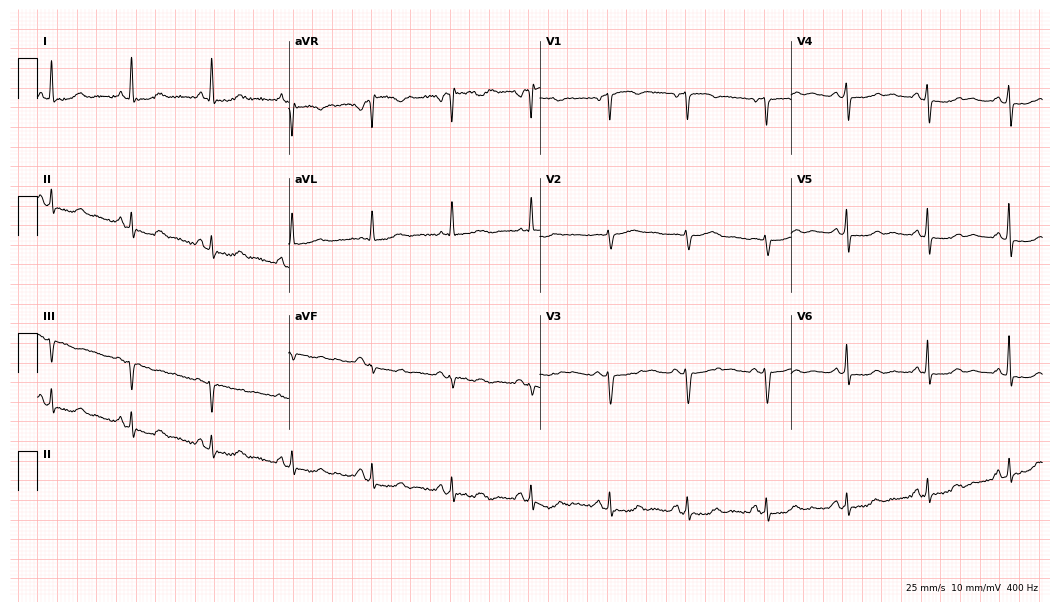
Resting 12-lead electrocardiogram (10.2-second recording at 400 Hz). Patient: a woman, 66 years old. None of these six findings is recorded: first-degree AV block, right bundle branch block, left bundle branch block, sinus bradycardia, atrial fibrillation, sinus tachycardia. Only these six findings were labelled.